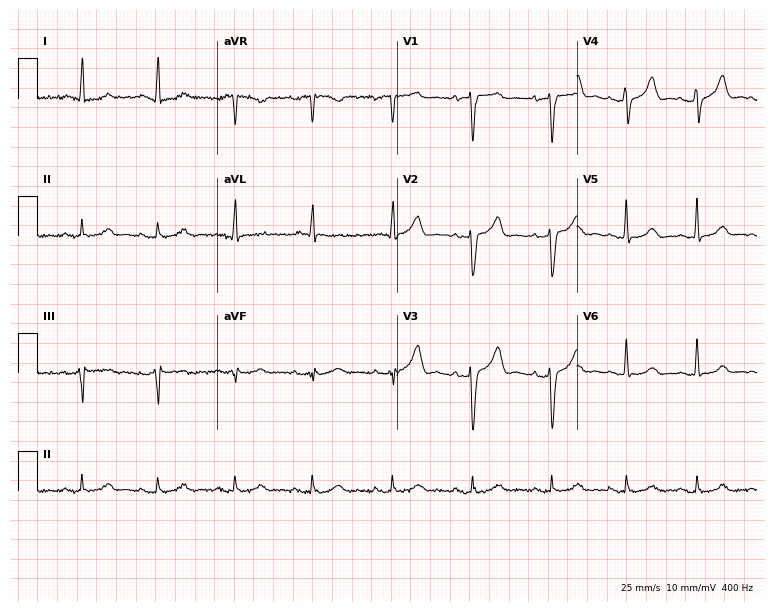
ECG (7.3-second recording at 400 Hz) — a 53-year-old female patient. Labelled as a normal ECG.